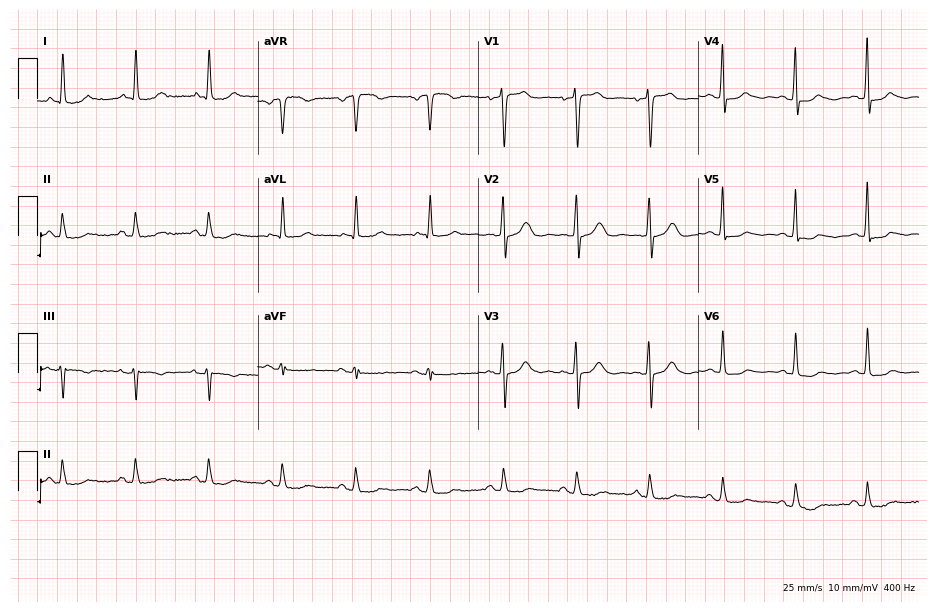
12-lead ECG from a woman, 68 years old (9-second recording at 400 Hz). Recorded interpretation: within normal limits.